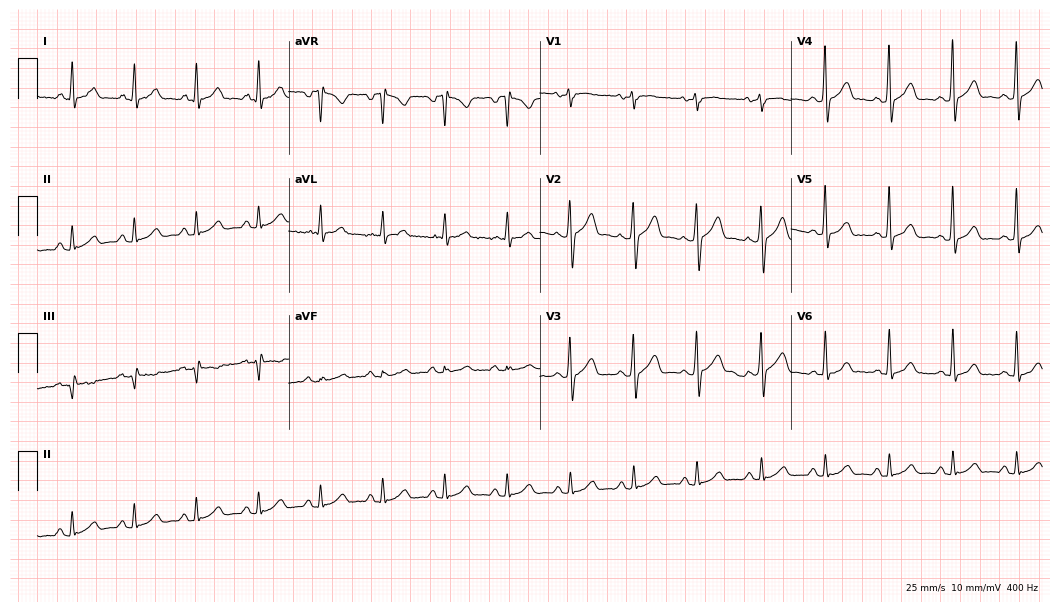
Resting 12-lead electrocardiogram (10.2-second recording at 400 Hz). Patient: a male, 45 years old. Read as a normal ECG.